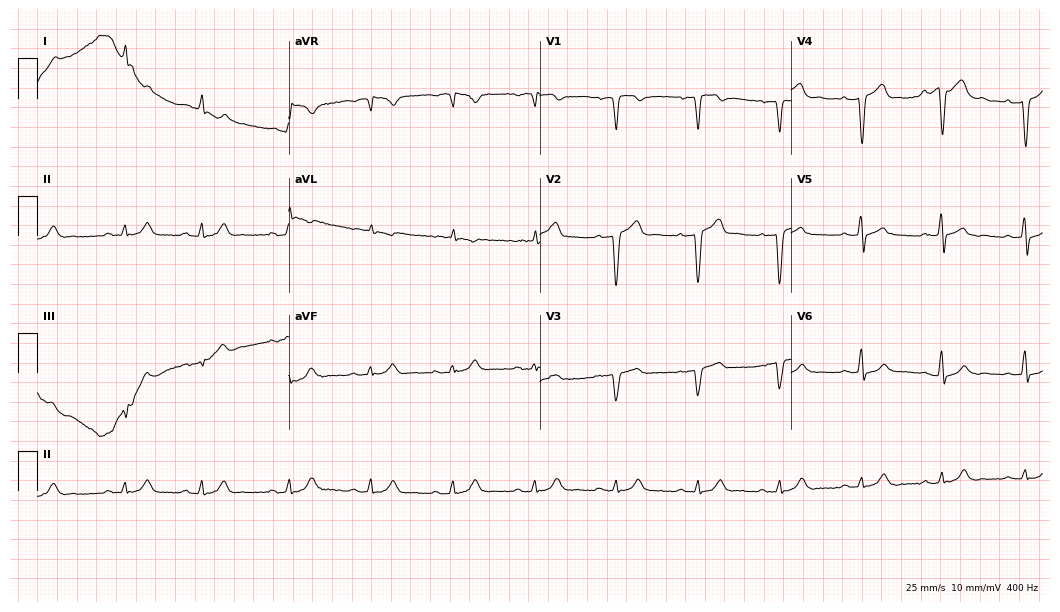
ECG — a man, 84 years old. Labelled as a normal ECG.